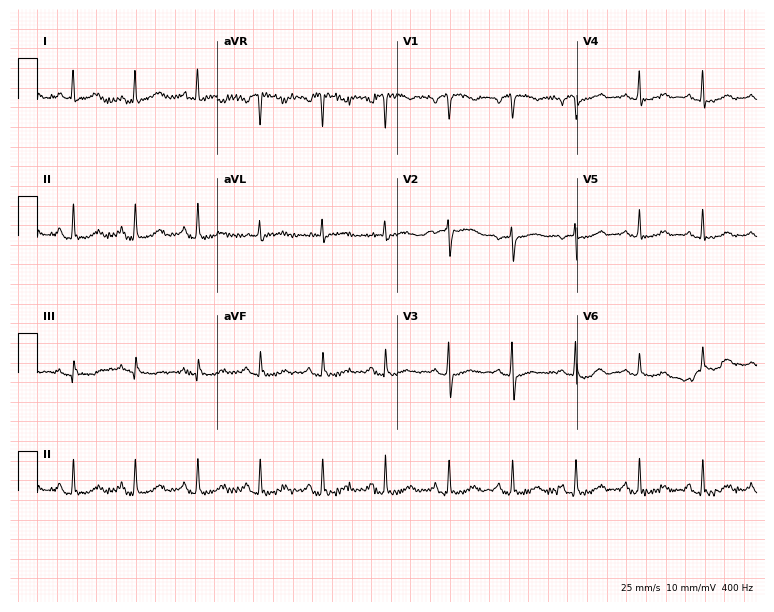
Electrocardiogram (7.3-second recording at 400 Hz), a woman, 66 years old. Of the six screened findings (first-degree AV block, right bundle branch block (RBBB), left bundle branch block (LBBB), sinus bradycardia, atrial fibrillation (AF), sinus tachycardia), none is recorded.